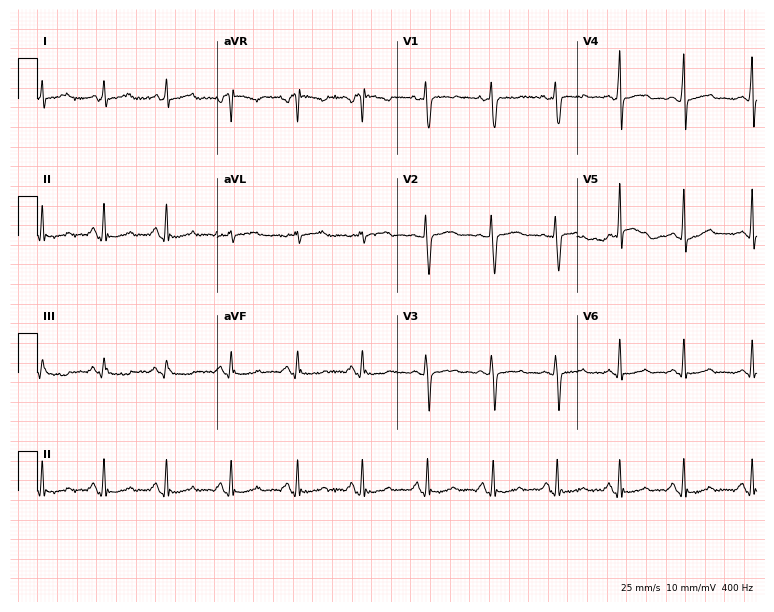
Resting 12-lead electrocardiogram. Patient: a 34-year-old female. None of these six findings is recorded: first-degree AV block, right bundle branch block, left bundle branch block, sinus bradycardia, atrial fibrillation, sinus tachycardia.